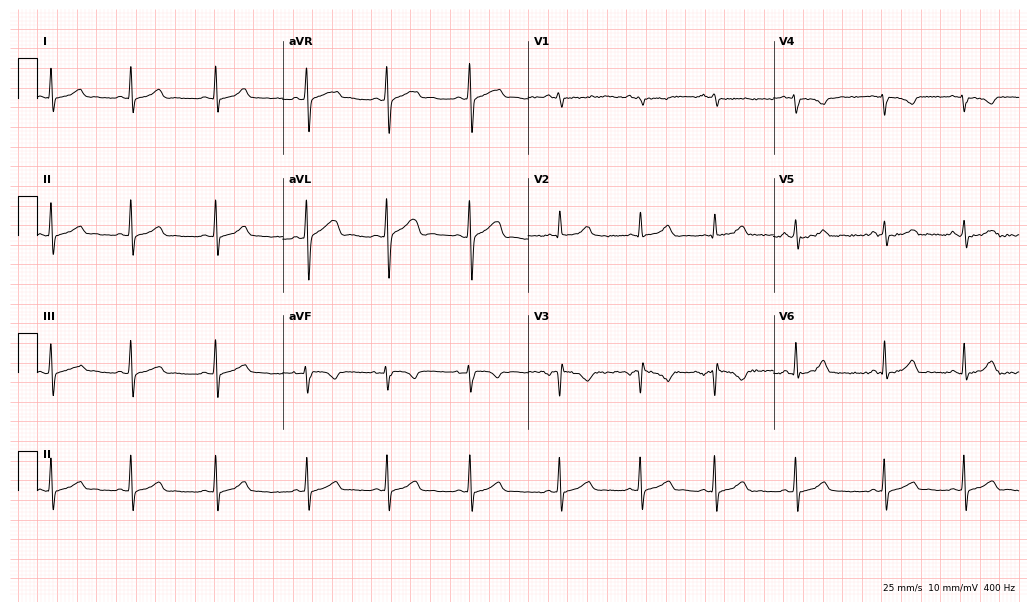
Standard 12-lead ECG recorded from a female, 26 years old (10-second recording at 400 Hz). None of these six findings is recorded: first-degree AV block, right bundle branch block (RBBB), left bundle branch block (LBBB), sinus bradycardia, atrial fibrillation (AF), sinus tachycardia.